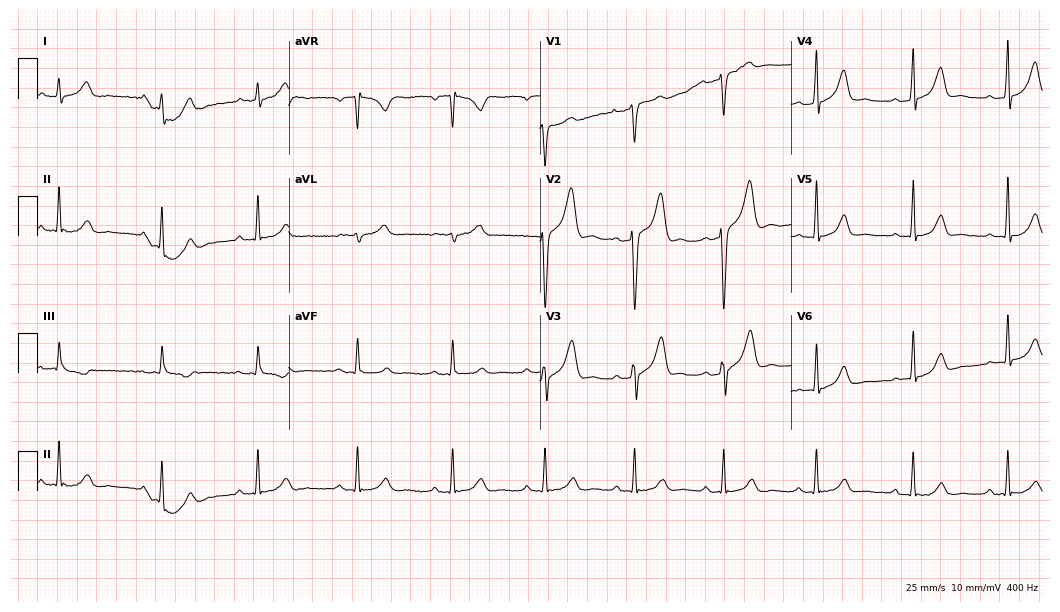
Resting 12-lead electrocardiogram. Patient: a 29-year-old male. Read as a normal ECG.